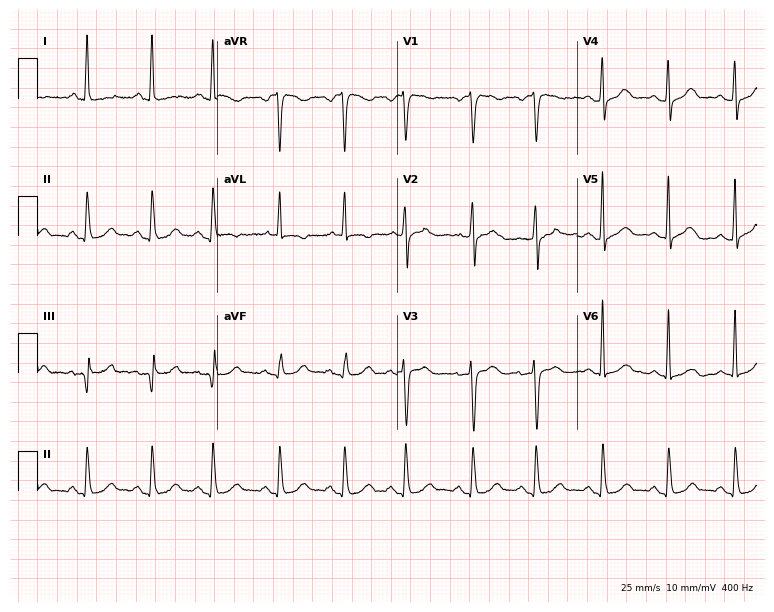
12-lead ECG (7.3-second recording at 400 Hz) from a 62-year-old female. Screened for six findings — first-degree AV block, right bundle branch block, left bundle branch block, sinus bradycardia, atrial fibrillation, sinus tachycardia — none is recorded.